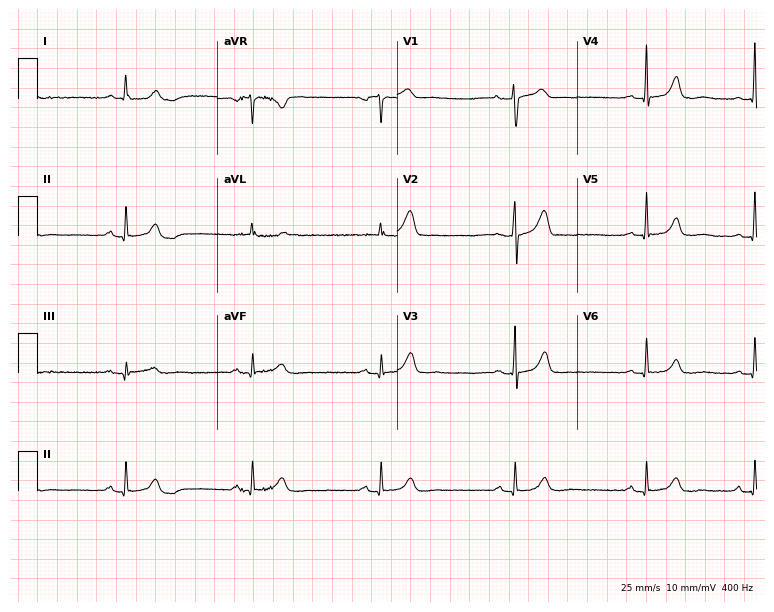
Resting 12-lead electrocardiogram (7.3-second recording at 400 Hz). Patient: a female, 48 years old. None of these six findings is recorded: first-degree AV block, right bundle branch block (RBBB), left bundle branch block (LBBB), sinus bradycardia, atrial fibrillation (AF), sinus tachycardia.